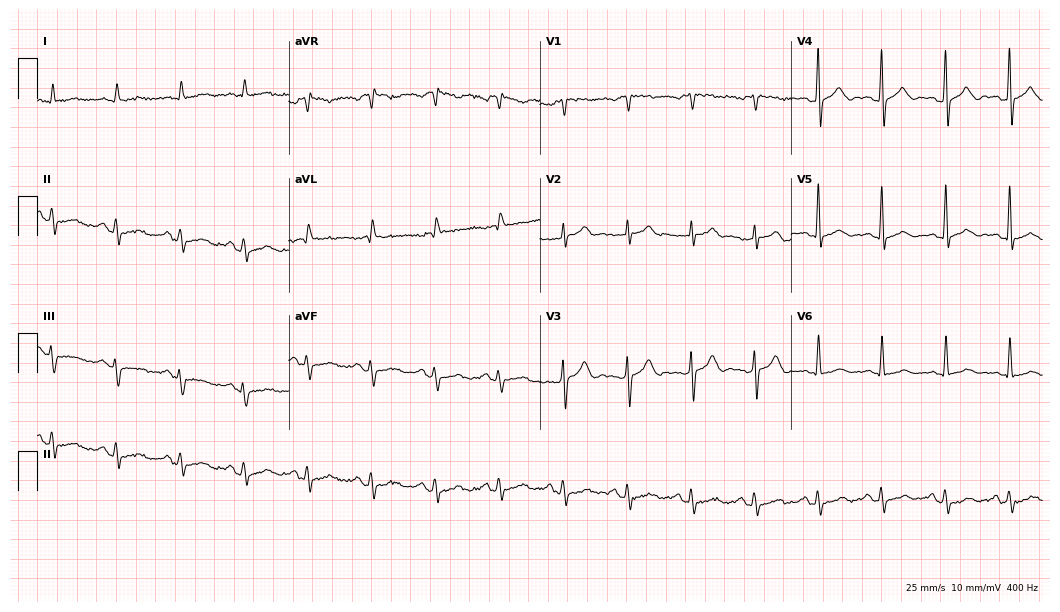
12-lead ECG from a 63-year-old man. No first-degree AV block, right bundle branch block (RBBB), left bundle branch block (LBBB), sinus bradycardia, atrial fibrillation (AF) or sinus tachycardia recorded for this tracing.